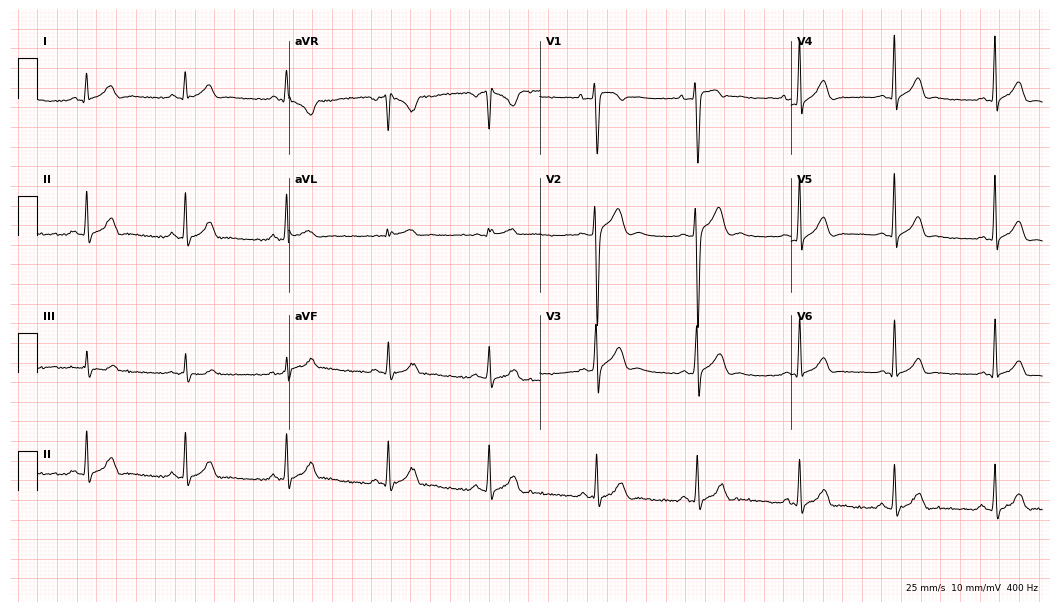
12-lead ECG from a 17-year-old male. Recorded interpretation: within normal limits.